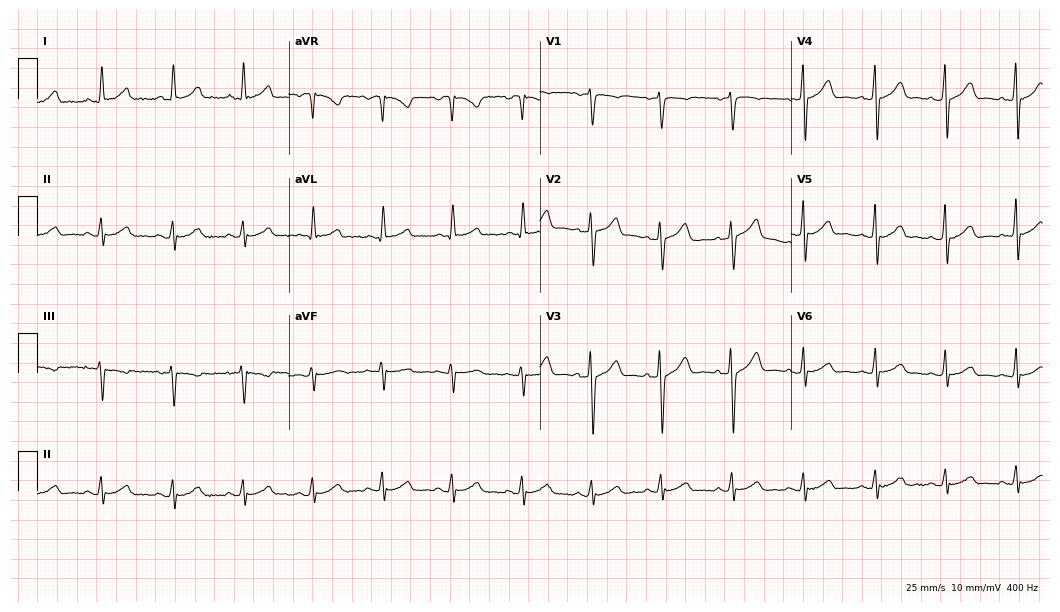
Electrocardiogram (10.2-second recording at 400 Hz), a woman, 53 years old. Overall reading on record: normal ECG.